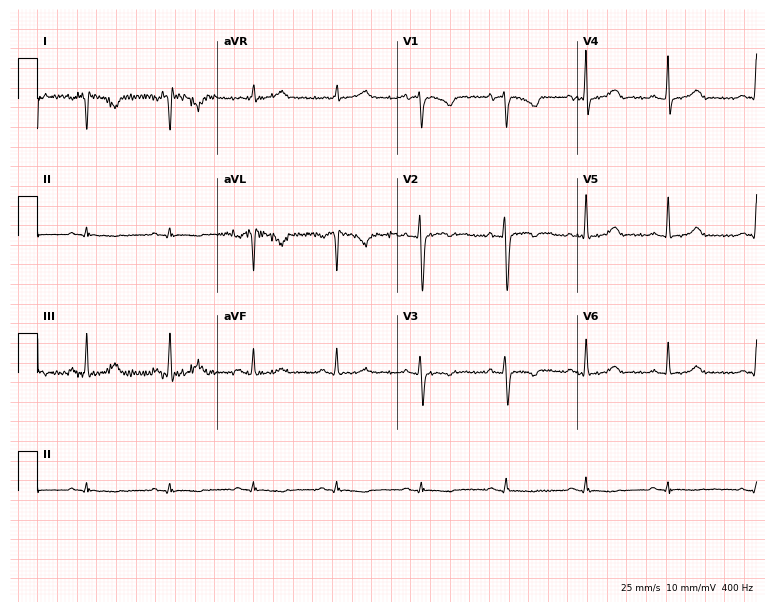
12-lead ECG from a female patient, 24 years old. No first-degree AV block, right bundle branch block (RBBB), left bundle branch block (LBBB), sinus bradycardia, atrial fibrillation (AF) or sinus tachycardia recorded for this tracing.